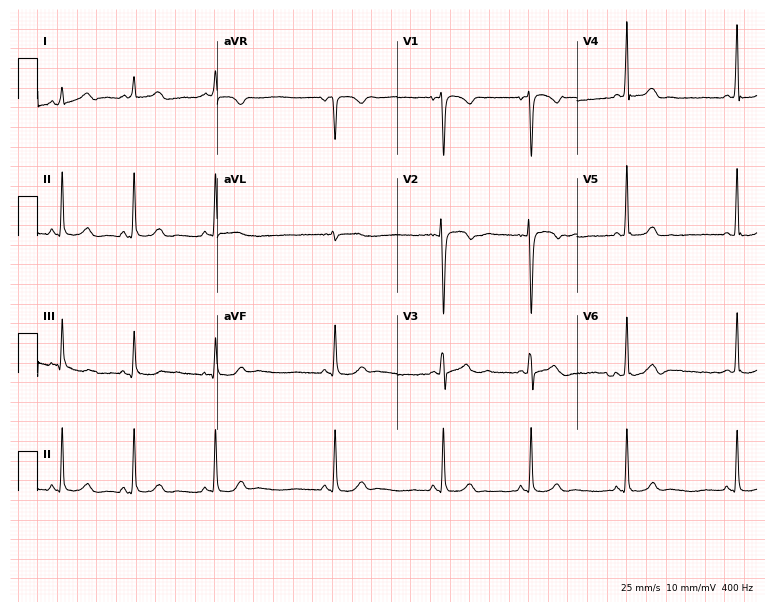
12-lead ECG from a female patient, 22 years old. Recorded interpretation: within normal limits.